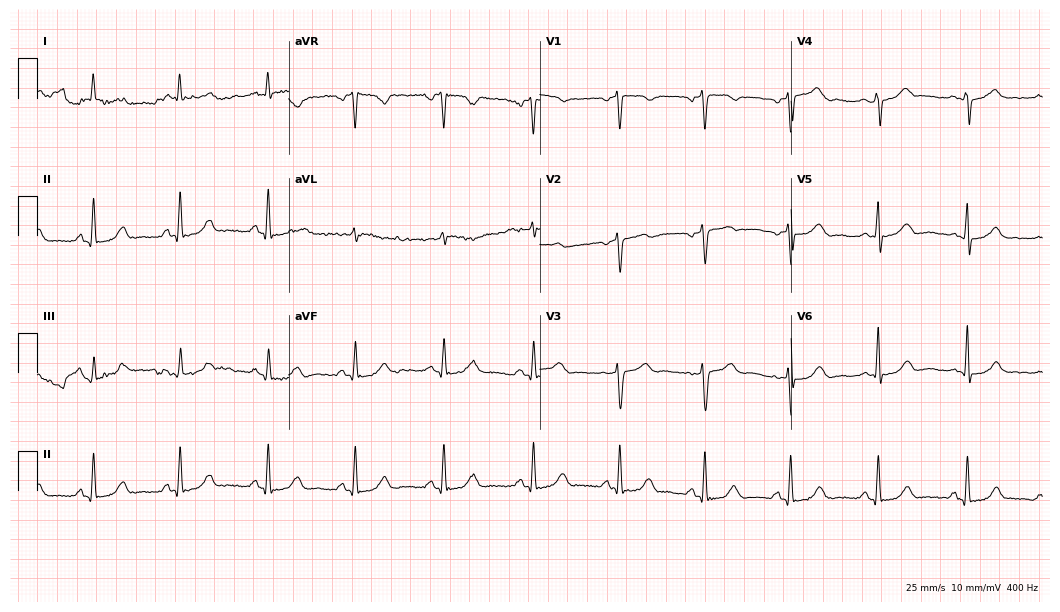
12-lead ECG (10.2-second recording at 400 Hz) from a 57-year-old female. Labelled as a normal ECG.